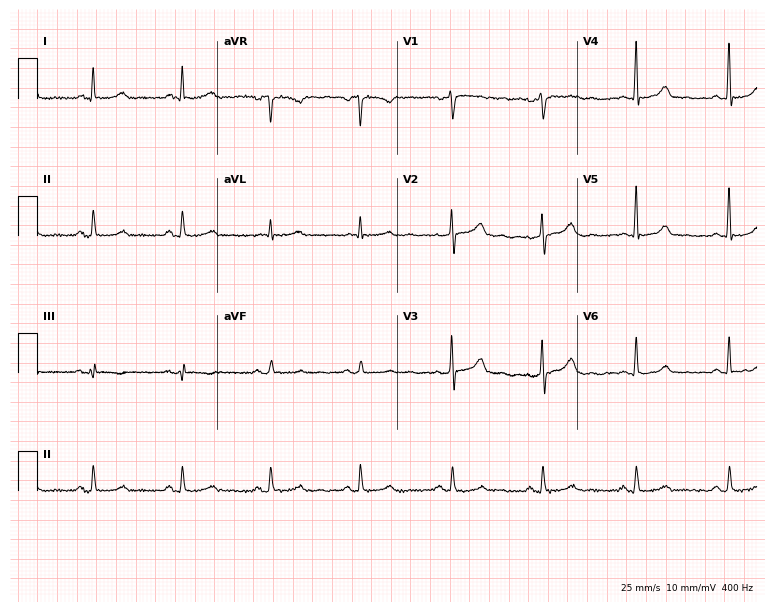
Standard 12-lead ECG recorded from a 39-year-old female. Read as a normal ECG.